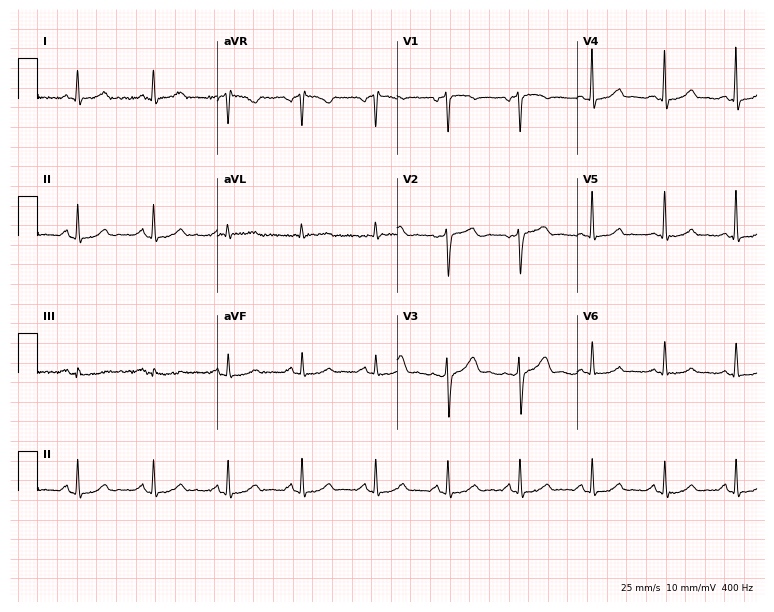
12-lead ECG from a 50-year-old woman. Screened for six findings — first-degree AV block, right bundle branch block (RBBB), left bundle branch block (LBBB), sinus bradycardia, atrial fibrillation (AF), sinus tachycardia — none is recorded.